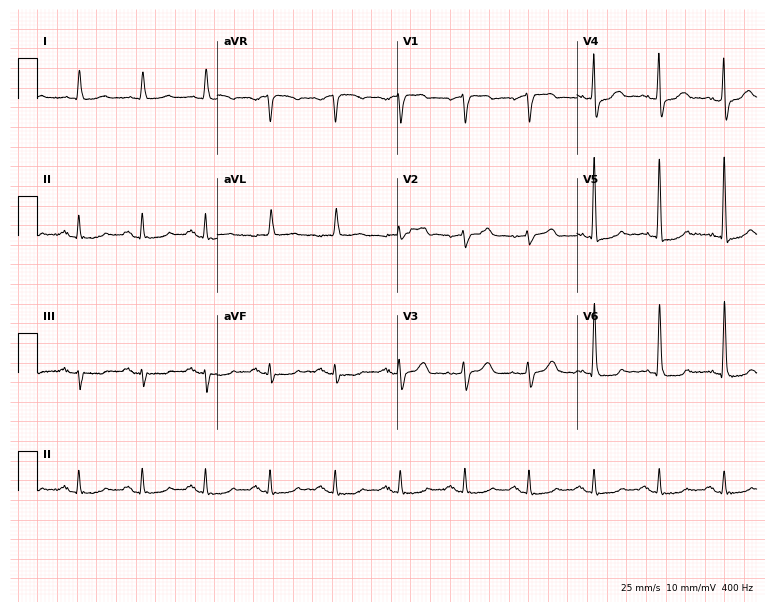
Resting 12-lead electrocardiogram (7.3-second recording at 400 Hz). Patient: a 76-year-old male. Read as a normal ECG.